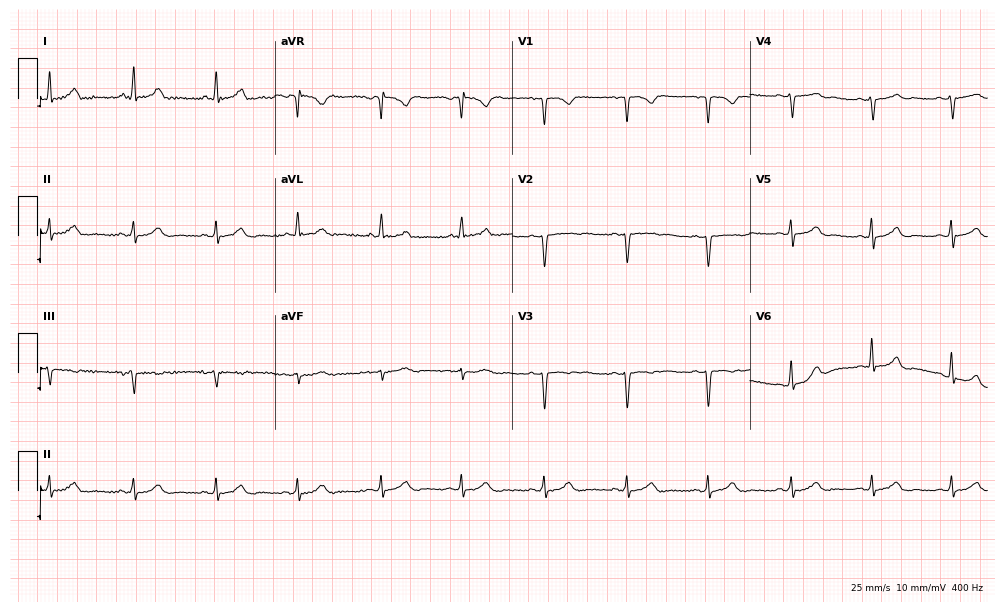
ECG — a female, 40 years old. Screened for six findings — first-degree AV block, right bundle branch block, left bundle branch block, sinus bradycardia, atrial fibrillation, sinus tachycardia — none is recorded.